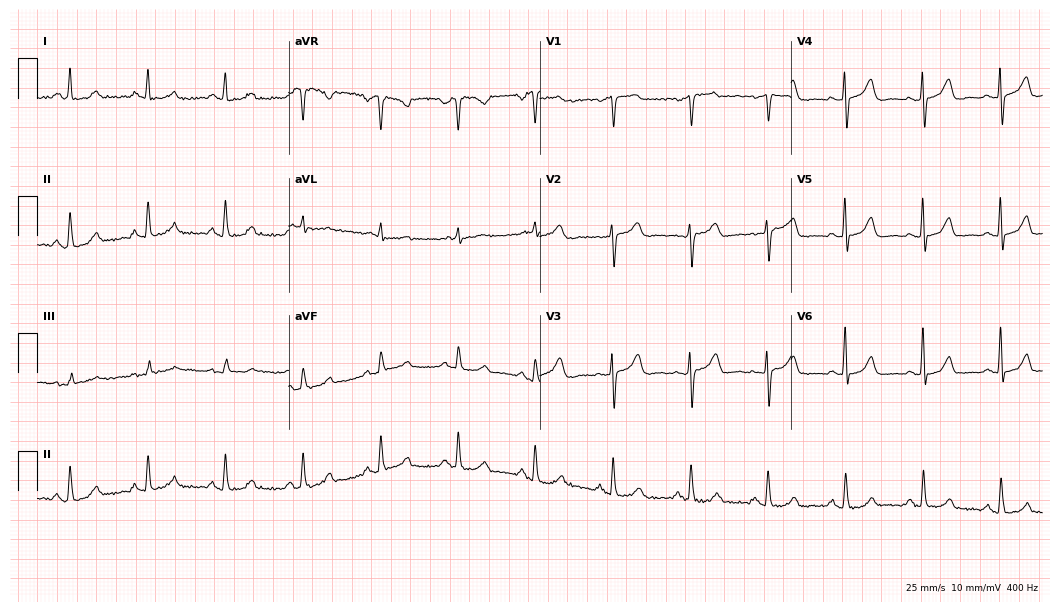
Electrocardiogram (10.2-second recording at 400 Hz), a female, 55 years old. Overall reading on record: normal ECG.